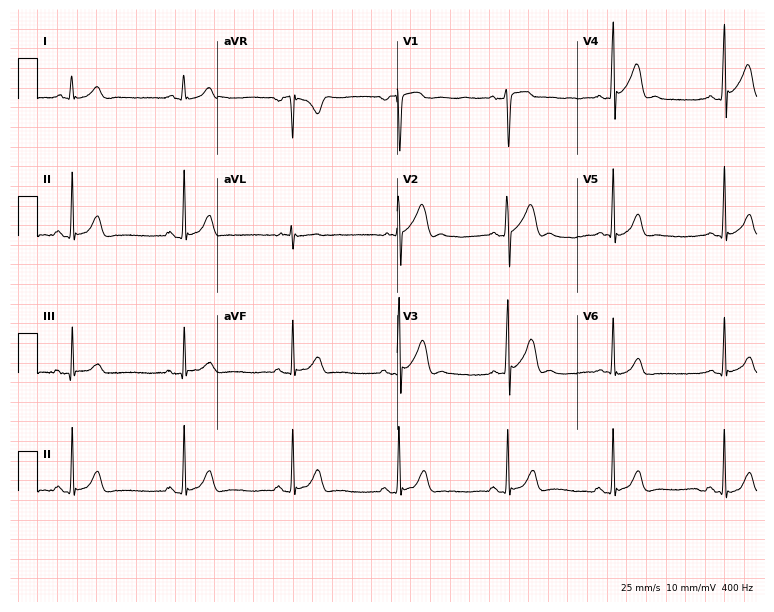
12-lead ECG from an 18-year-old male patient (7.3-second recording at 400 Hz). No first-degree AV block, right bundle branch block (RBBB), left bundle branch block (LBBB), sinus bradycardia, atrial fibrillation (AF) or sinus tachycardia recorded for this tracing.